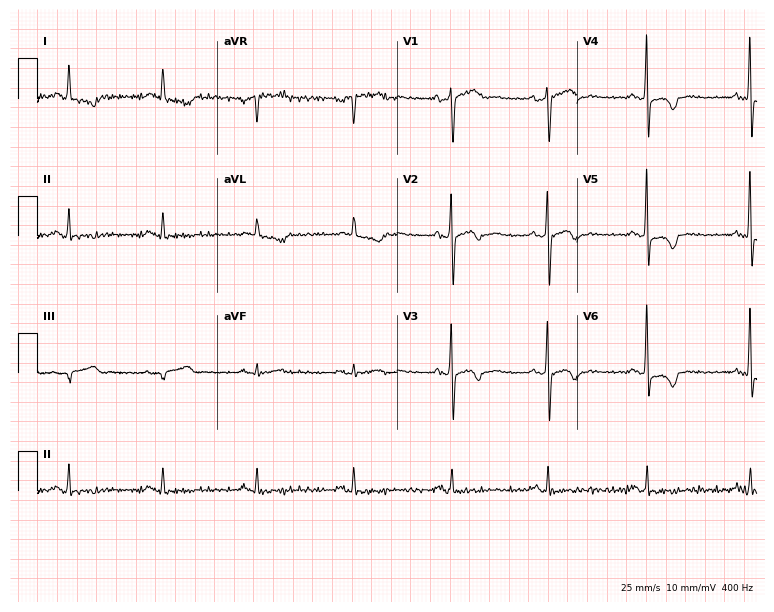
12-lead ECG from a man, 68 years old (7.3-second recording at 400 Hz). No first-degree AV block, right bundle branch block, left bundle branch block, sinus bradycardia, atrial fibrillation or sinus tachycardia recorded for this tracing.